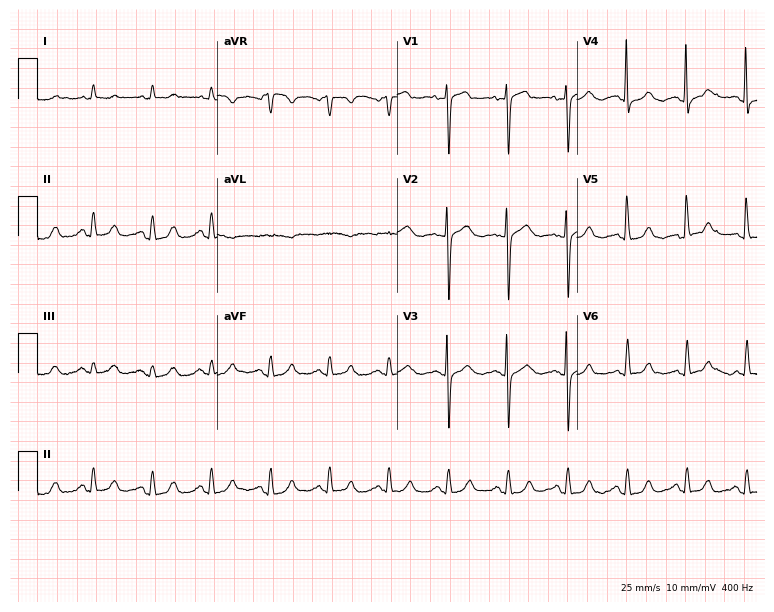
Electrocardiogram (7.3-second recording at 400 Hz), a woman, 70 years old. Overall reading on record: normal ECG.